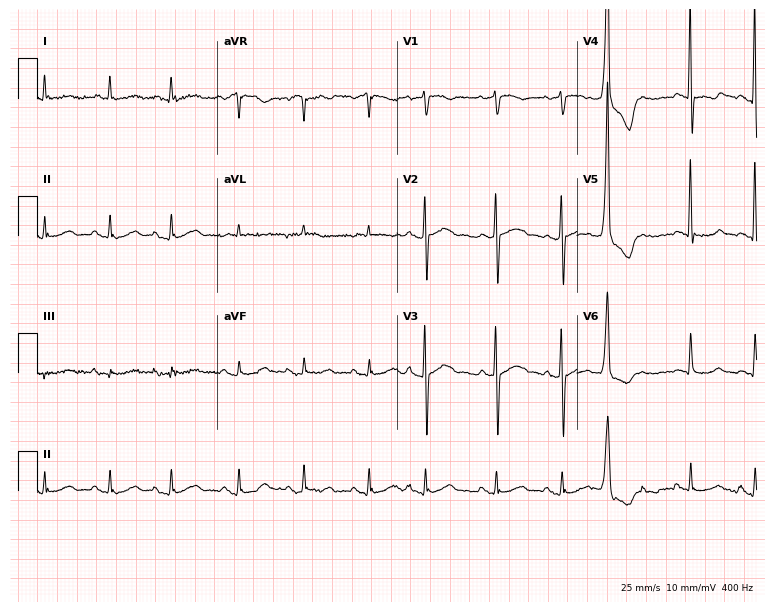
Resting 12-lead electrocardiogram (7.3-second recording at 400 Hz). Patient: a 77-year-old man. None of these six findings is recorded: first-degree AV block, right bundle branch block (RBBB), left bundle branch block (LBBB), sinus bradycardia, atrial fibrillation (AF), sinus tachycardia. Findings outside these six are not listed.